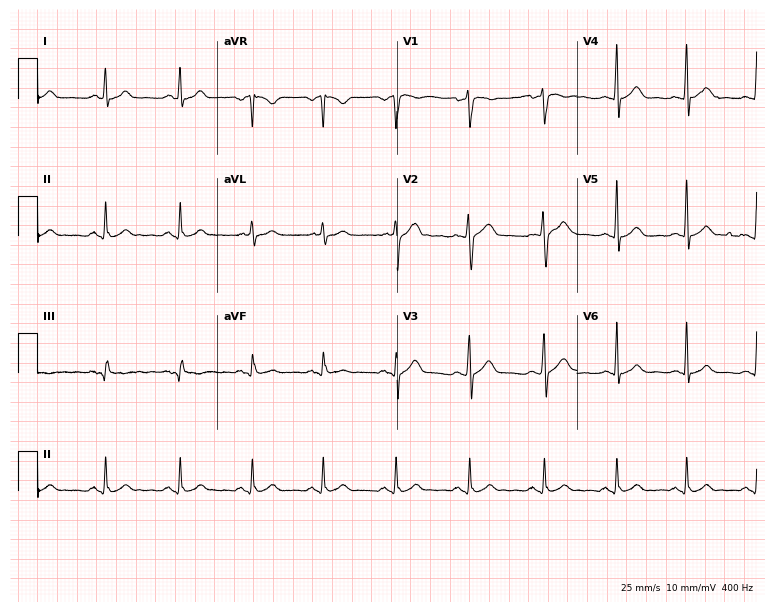
Standard 12-lead ECG recorded from a 35-year-old man (7.3-second recording at 400 Hz). None of these six findings is recorded: first-degree AV block, right bundle branch block, left bundle branch block, sinus bradycardia, atrial fibrillation, sinus tachycardia. Other findings, if any, are not listed.